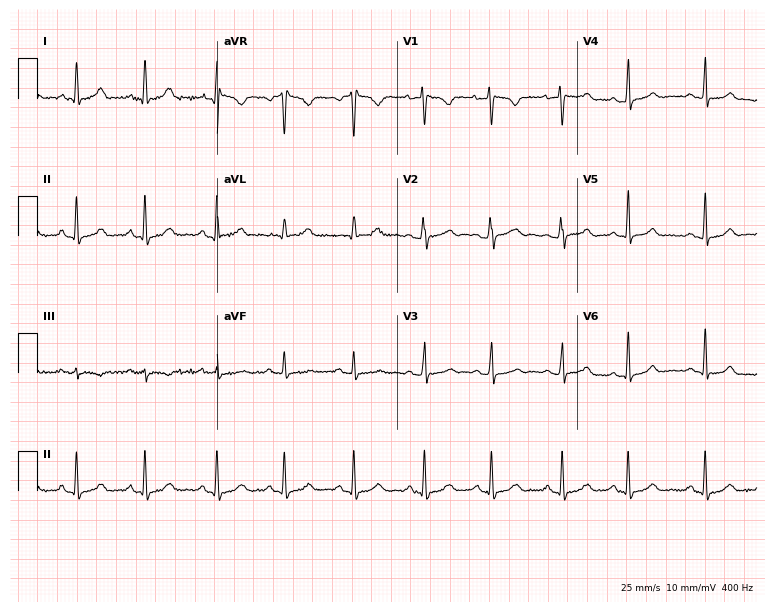
12-lead ECG from a 17-year-old female. Labelled as a normal ECG.